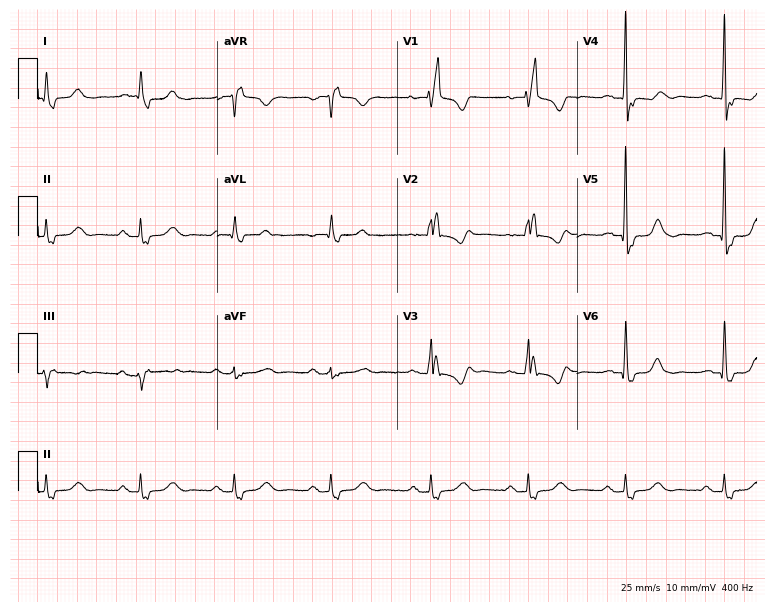
ECG — a female patient, 74 years old. Findings include right bundle branch block.